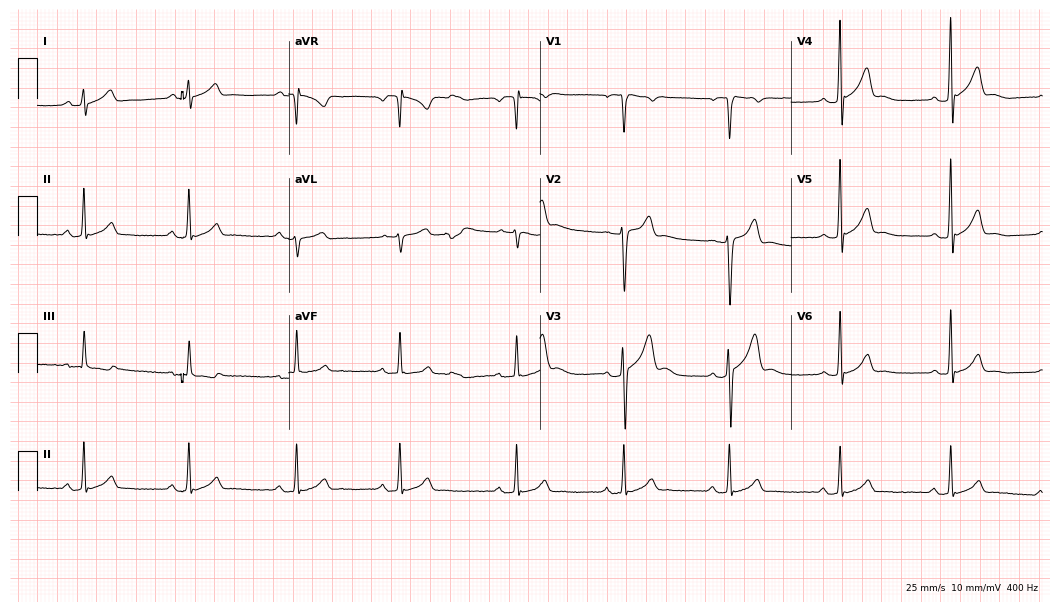
Electrocardiogram, a 26-year-old man. Overall reading on record: normal ECG.